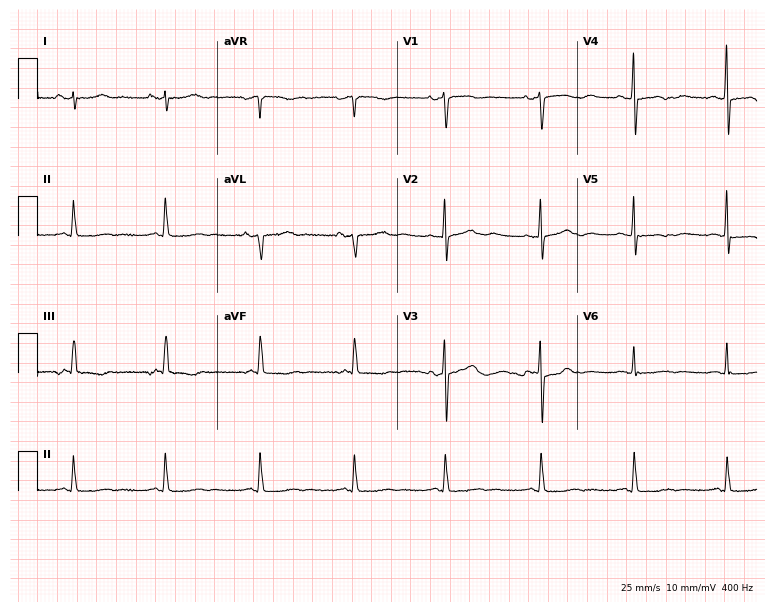
Electrocardiogram, an 85-year-old female patient. Of the six screened findings (first-degree AV block, right bundle branch block (RBBB), left bundle branch block (LBBB), sinus bradycardia, atrial fibrillation (AF), sinus tachycardia), none is recorded.